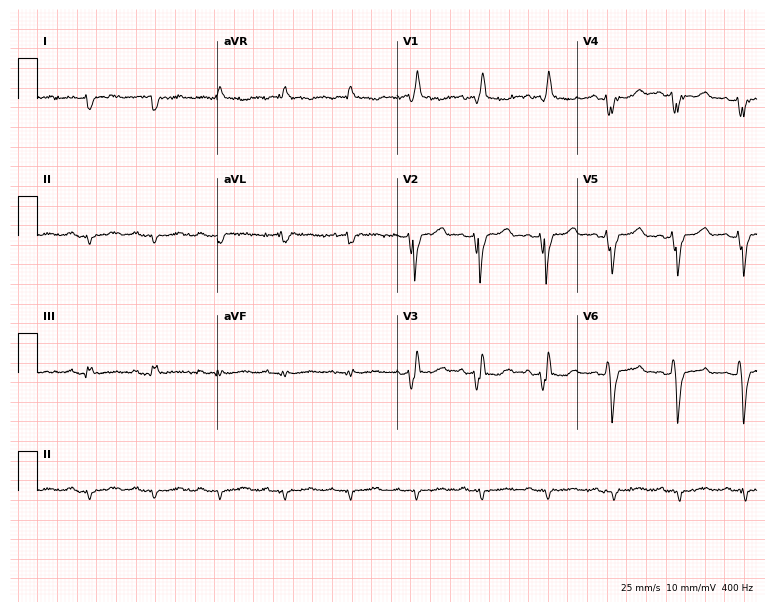
12-lead ECG from a 67-year-old man. Screened for six findings — first-degree AV block, right bundle branch block (RBBB), left bundle branch block (LBBB), sinus bradycardia, atrial fibrillation (AF), sinus tachycardia — none is recorded. Findings outside these six are not listed.